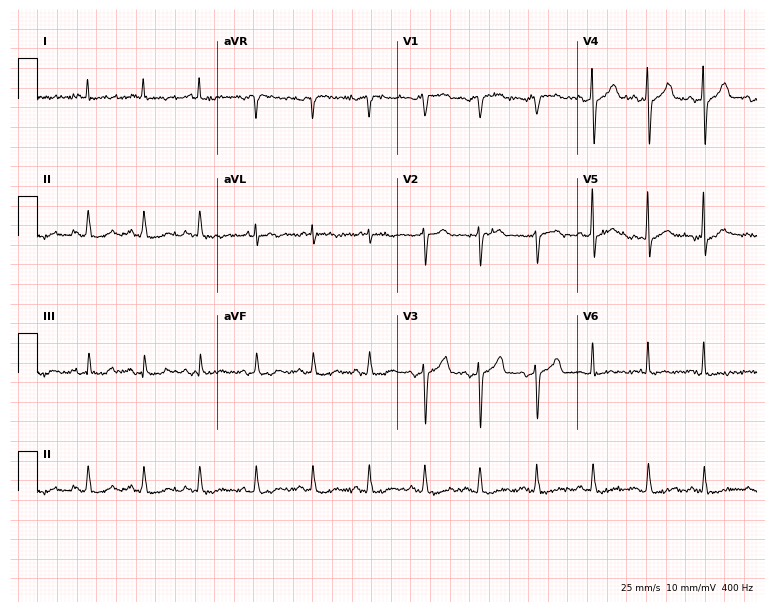
Standard 12-lead ECG recorded from an 80-year-old male (7.3-second recording at 400 Hz). The tracing shows sinus tachycardia (a sinus rate of 100 beats per minute or more).